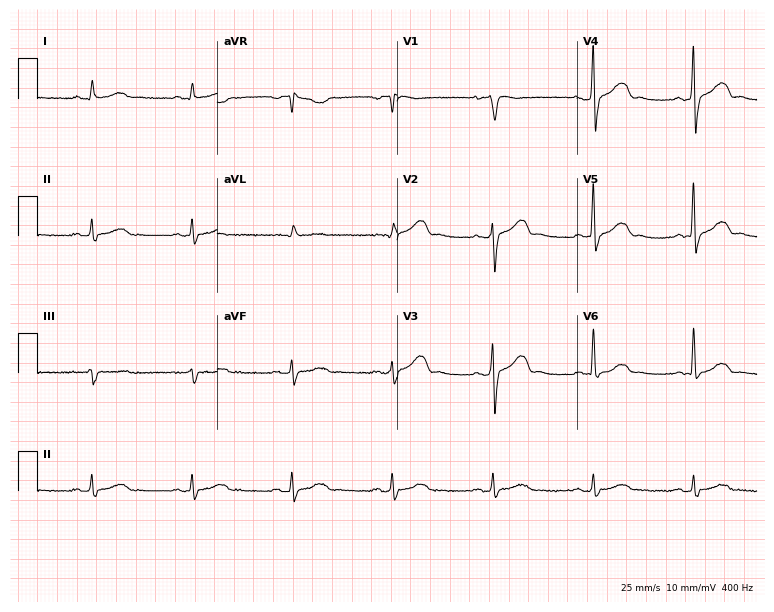
Resting 12-lead electrocardiogram (7.3-second recording at 400 Hz). Patient: a 71-year-old male. None of these six findings is recorded: first-degree AV block, right bundle branch block, left bundle branch block, sinus bradycardia, atrial fibrillation, sinus tachycardia. Findings outside these six are not listed.